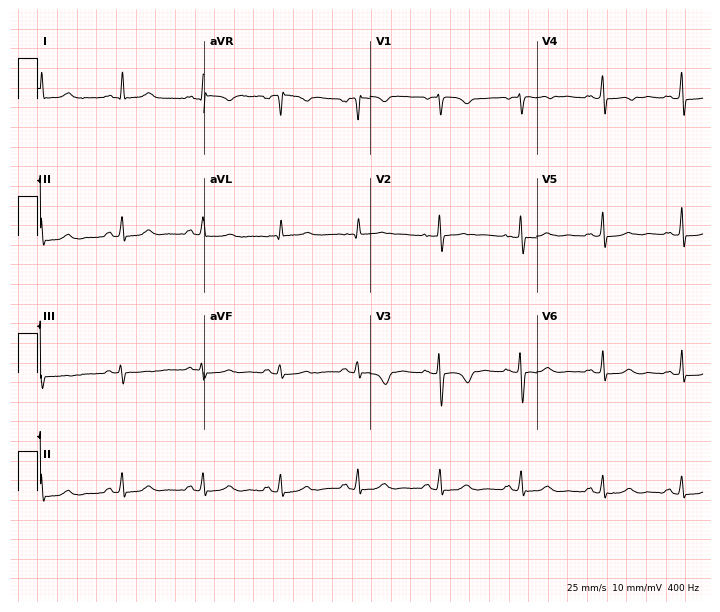
12-lead ECG from a female patient, 44 years old (6.8-second recording at 400 Hz). No first-degree AV block, right bundle branch block, left bundle branch block, sinus bradycardia, atrial fibrillation or sinus tachycardia recorded for this tracing.